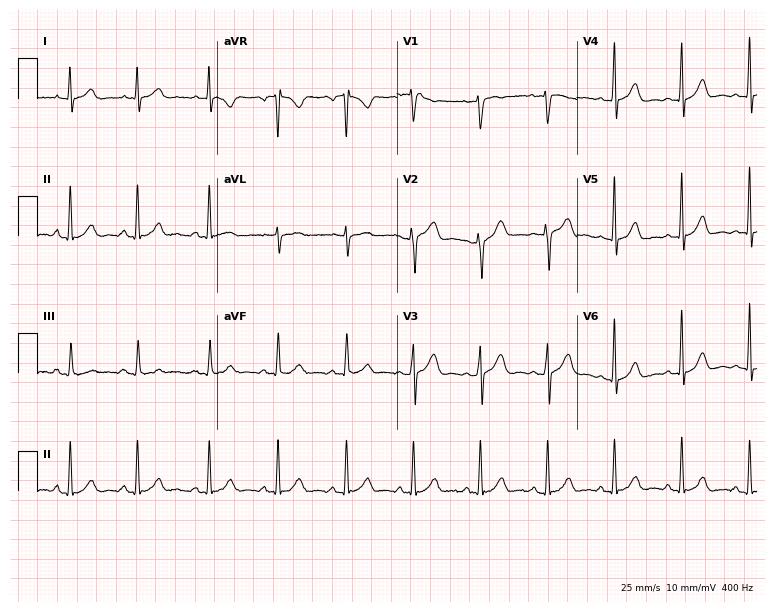
12-lead ECG from a 25-year-old female patient. Screened for six findings — first-degree AV block, right bundle branch block, left bundle branch block, sinus bradycardia, atrial fibrillation, sinus tachycardia — none is recorded.